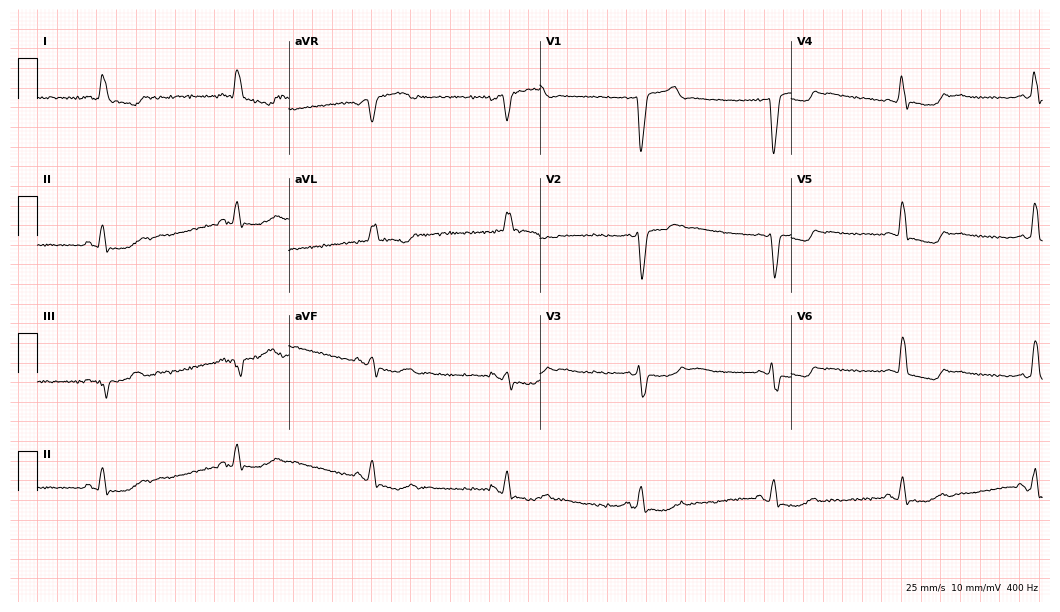
ECG — an 83-year-old man. Findings include left bundle branch block (LBBB).